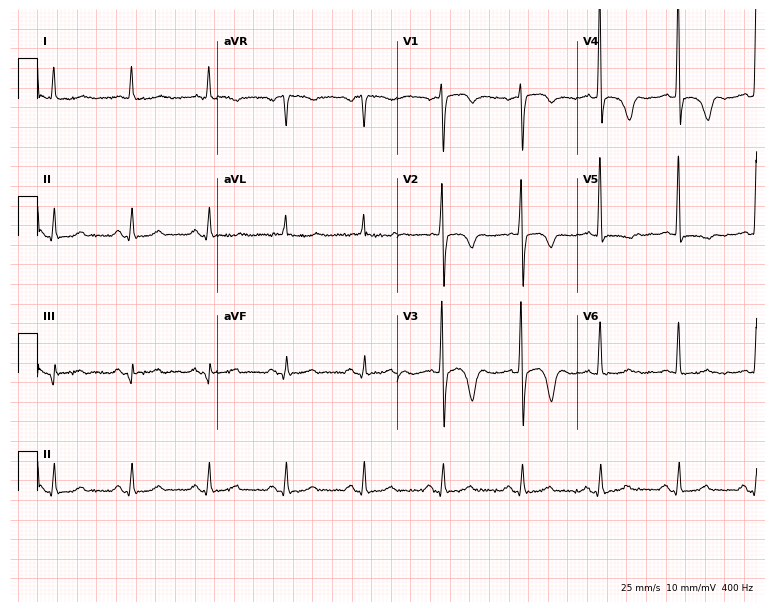
ECG (7.3-second recording at 400 Hz) — a female patient, 79 years old. Screened for six findings — first-degree AV block, right bundle branch block, left bundle branch block, sinus bradycardia, atrial fibrillation, sinus tachycardia — none is recorded. Other findings, if any, are not listed.